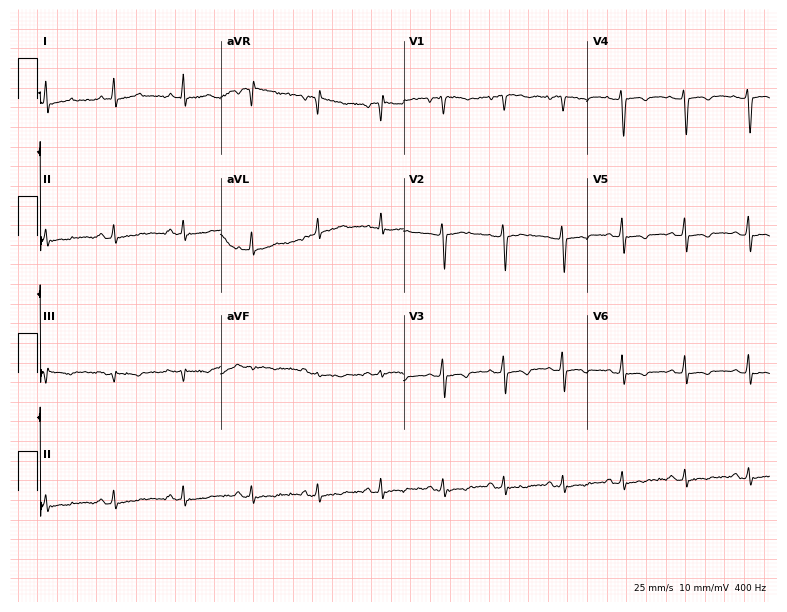
ECG (7.5-second recording at 400 Hz) — a 43-year-old female. Screened for six findings — first-degree AV block, right bundle branch block (RBBB), left bundle branch block (LBBB), sinus bradycardia, atrial fibrillation (AF), sinus tachycardia — none is recorded. Findings outside these six are not listed.